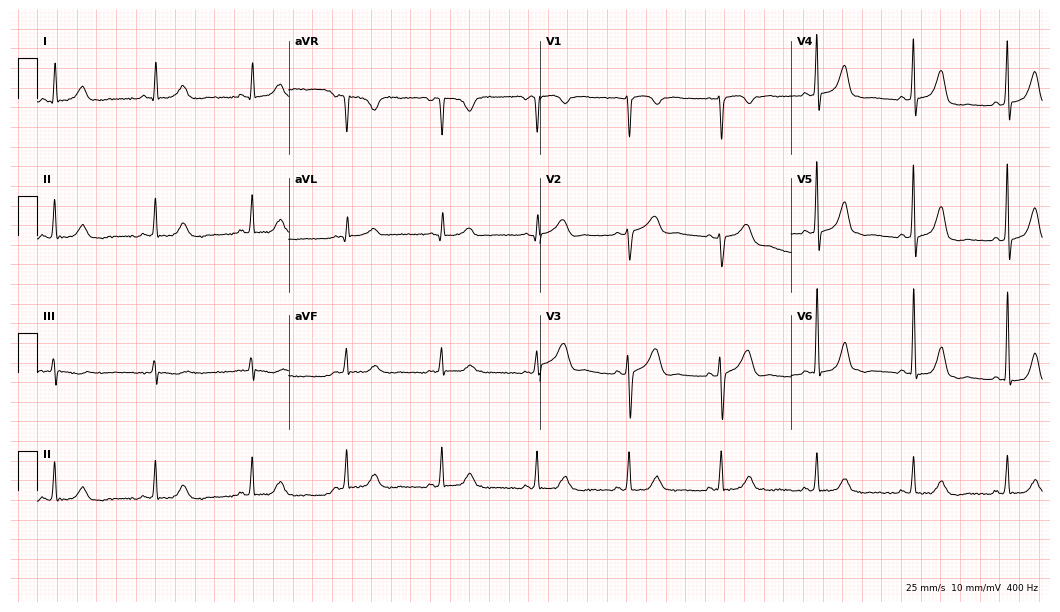
Standard 12-lead ECG recorded from a 57-year-old female (10.2-second recording at 400 Hz). Read as a normal ECG.